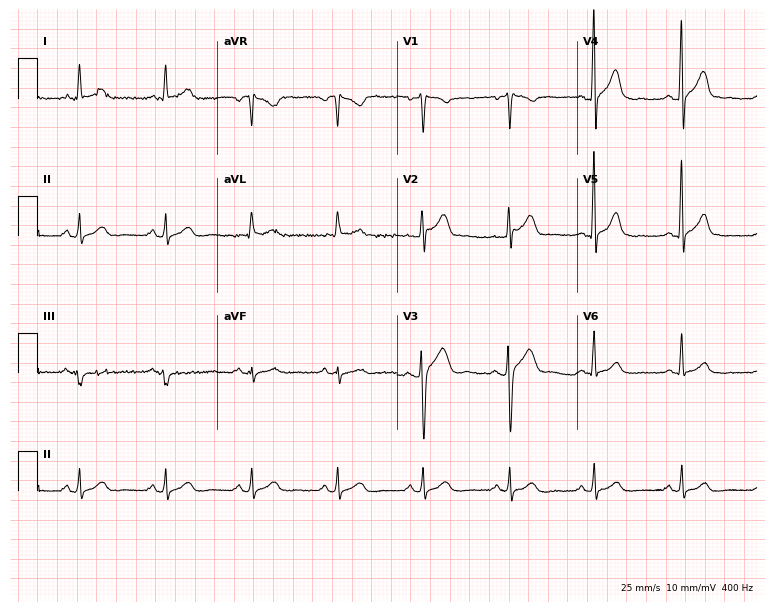
Resting 12-lead electrocardiogram. Patient: a 58-year-old female. None of these six findings is recorded: first-degree AV block, right bundle branch block, left bundle branch block, sinus bradycardia, atrial fibrillation, sinus tachycardia. Only these six findings were labelled.